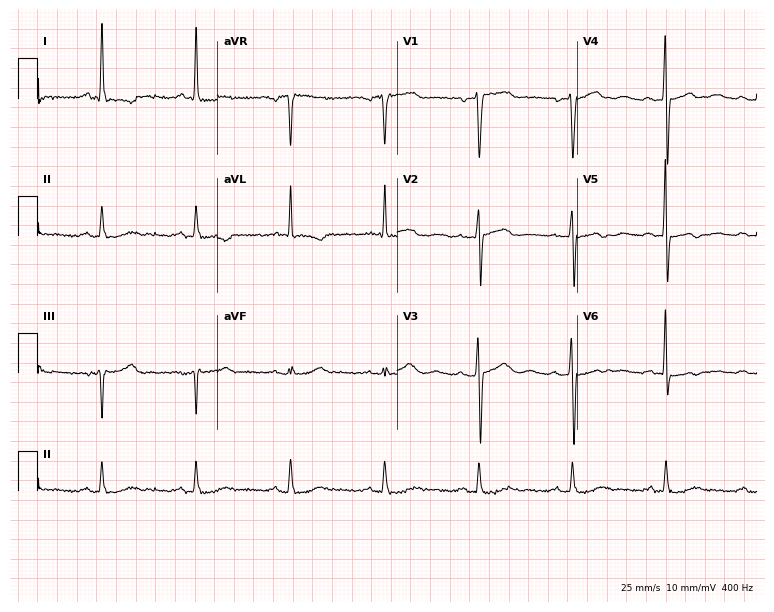
Resting 12-lead electrocardiogram. Patient: a 73-year-old male. None of these six findings is recorded: first-degree AV block, right bundle branch block (RBBB), left bundle branch block (LBBB), sinus bradycardia, atrial fibrillation (AF), sinus tachycardia.